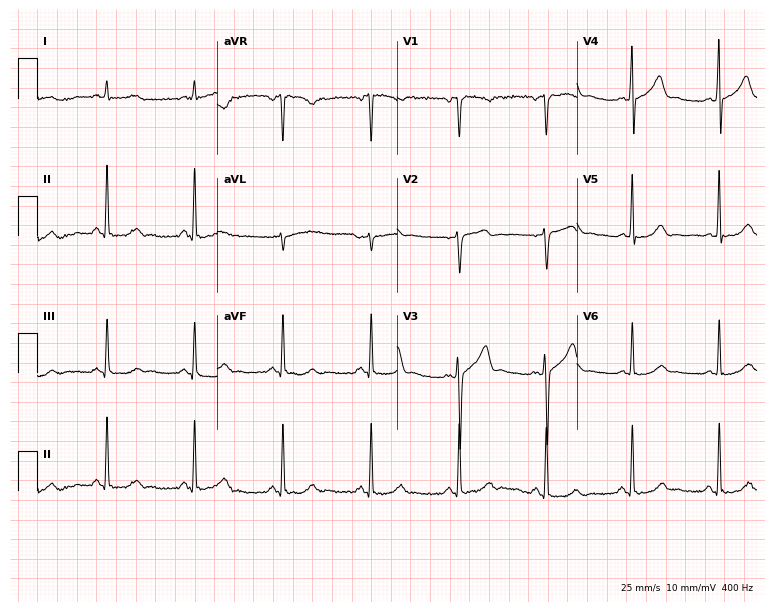
12-lead ECG from a 54-year-old man. Labelled as a normal ECG.